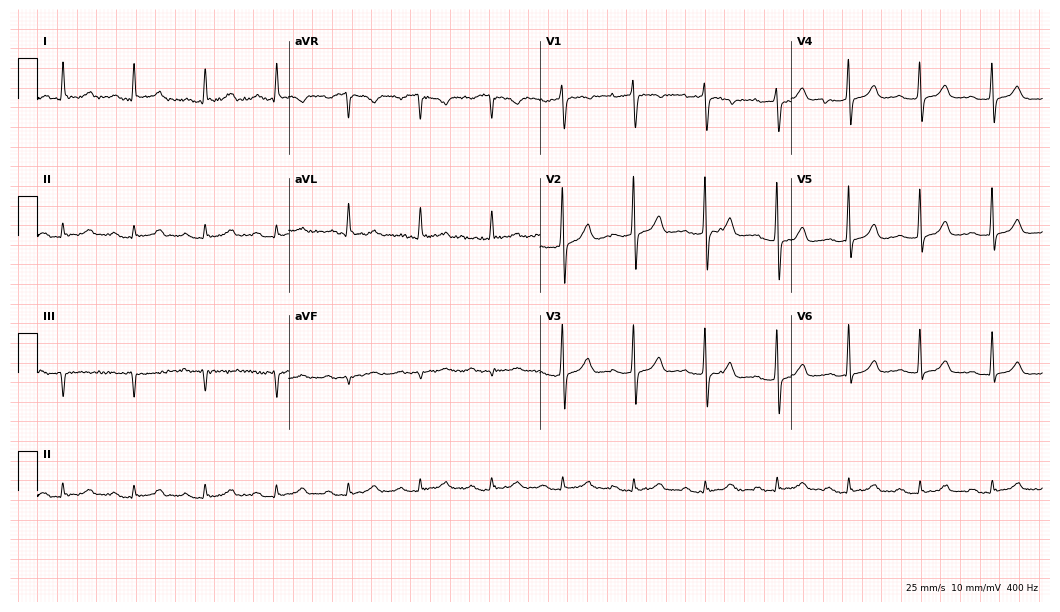
Standard 12-lead ECG recorded from an 85-year-old female patient (10.2-second recording at 400 Hz). The tracing shows first-degree AV block.